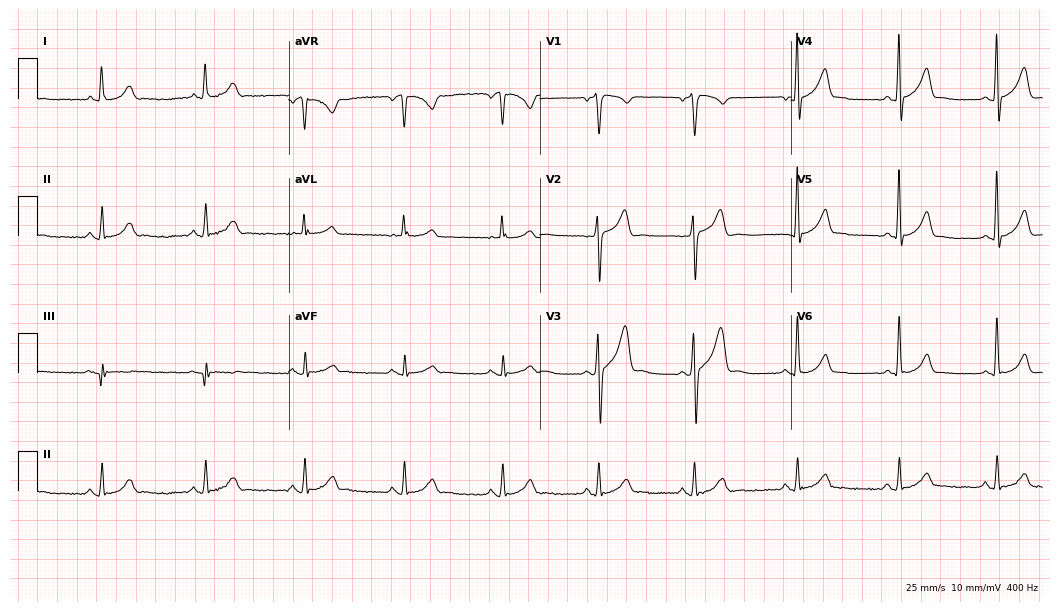
Standard 12-lead ECG recorded from a male, 34 years old. Read as a normal ECG.